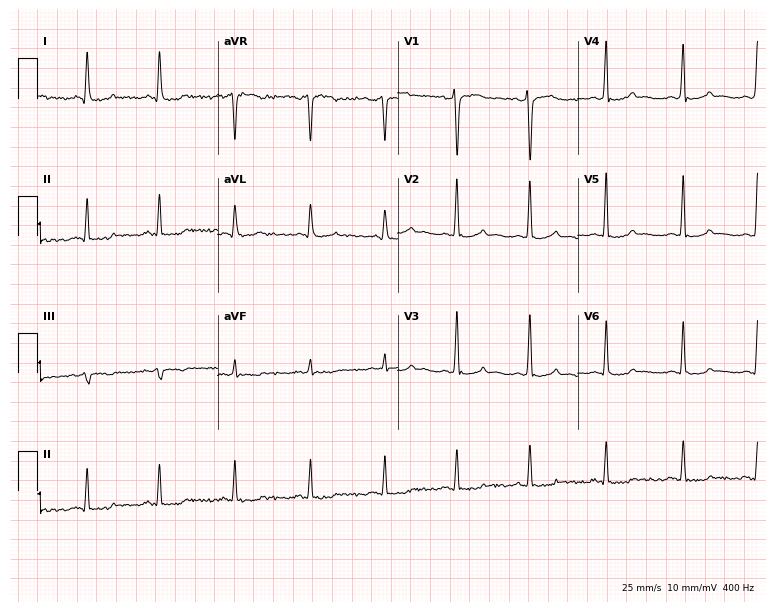
Resting 12-lead electrocardiogram (7.3-second recording at 400 Hz). Patient: a female, 32 years old. None of these six findings is recorded: first-degree AV block, right bundle branch block, left bundle branch block, sinus bradycardia, atrial fibrillation, sinus tachycardia.